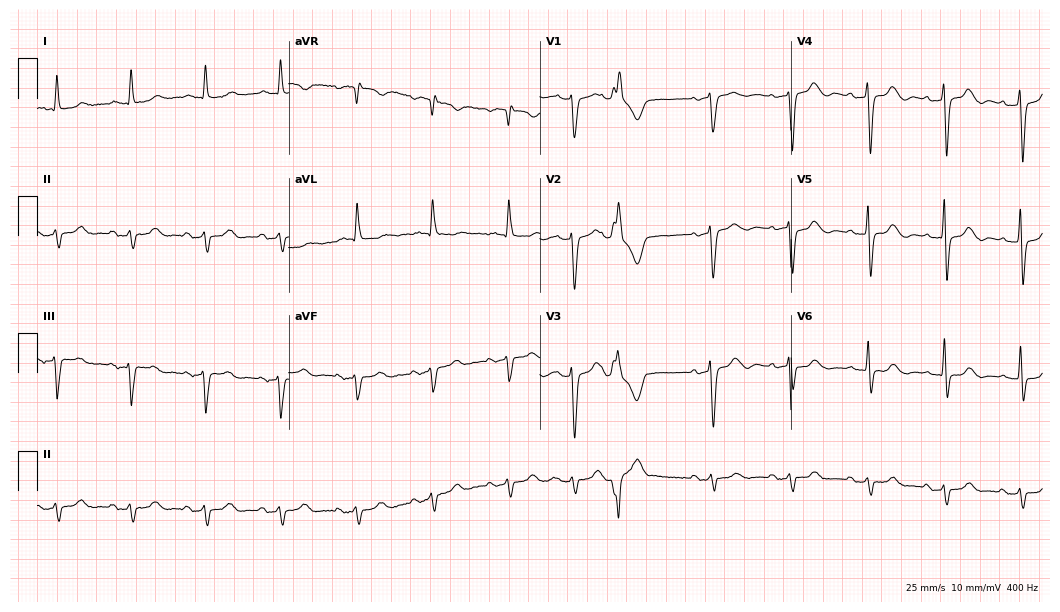
ECG (10.2-second recording at 400 Hz) — a female patient, 75 years old. Screened for six findings — first-degree AV block, right bundle branch block (RBBB), left bundle branch block (LBBB), sinus bradycardia, atrial fibrillation (AF), sinus tachycardia — none is recorded.